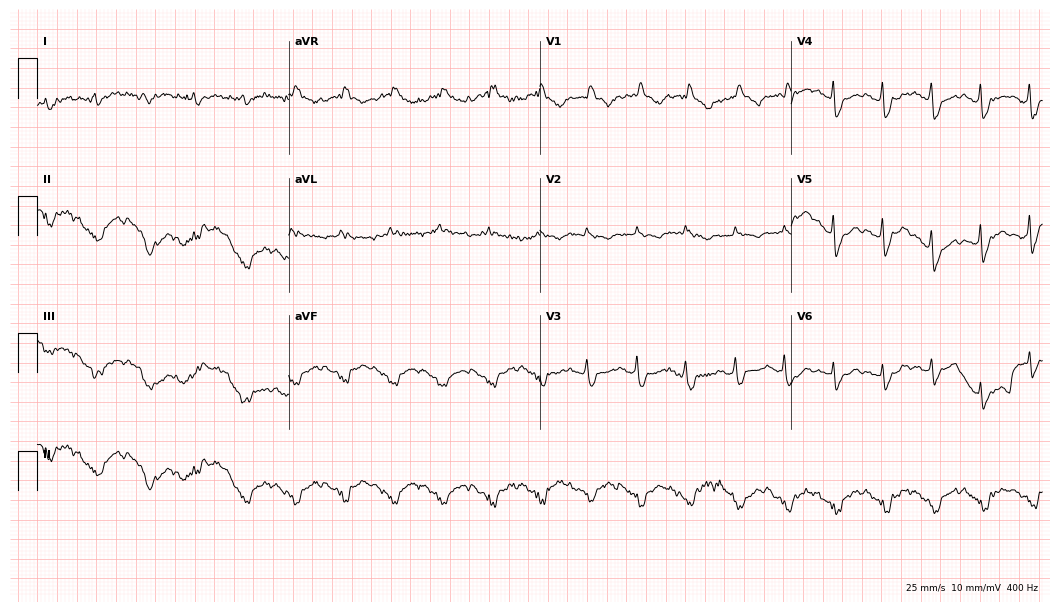
Resting 12-lead electrocardiogram. Patient: a male, 78 years old. The tracing shows right bundle branch block, sinus tachycardia (a sinus rate of 100 beats per minute or more).